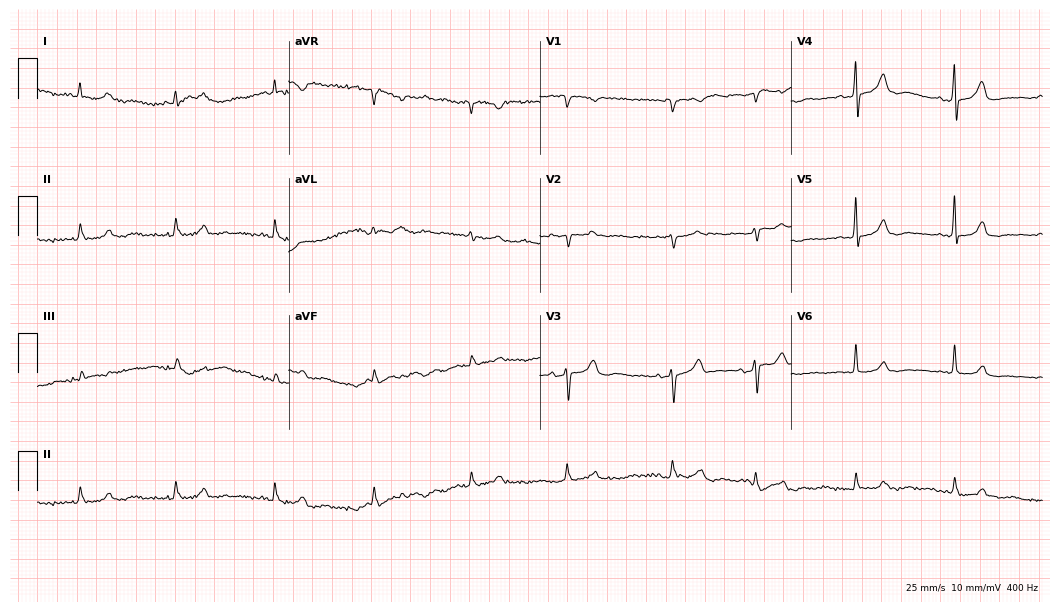
Standard 12-lead ECG recorded from a female patient, 85 years old. Read as a normal ECG.